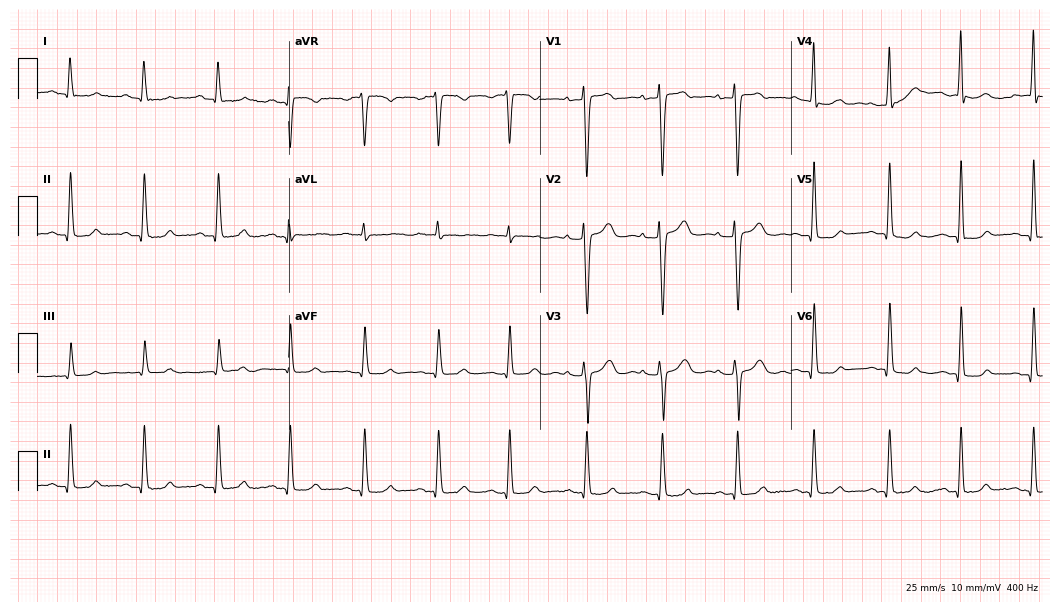
Standard 12-lead ECG recorded from a female patient, 41 years old (10.2-second recording at 400 Hz). Read as a normal ECG.